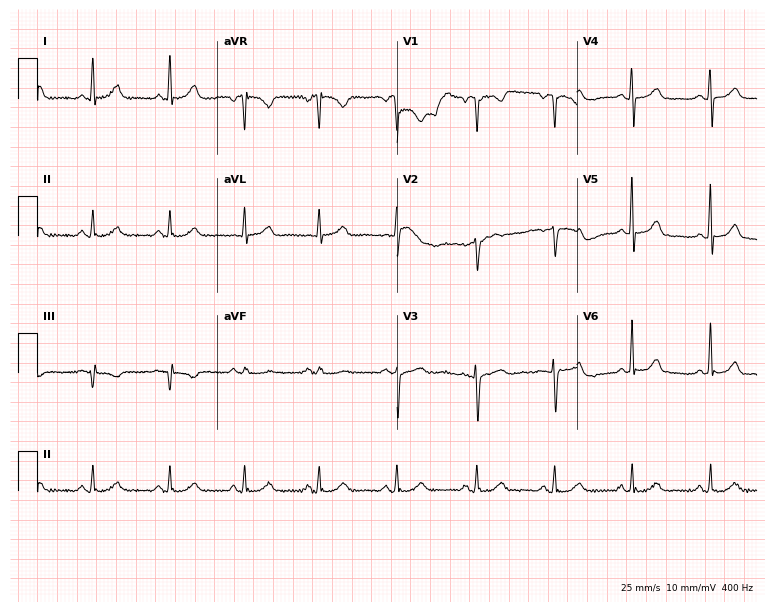
12-lead ECG (7.3-second recording at 400 Hz) from a 53-year-old female patient. Labelled as a normal ECG.